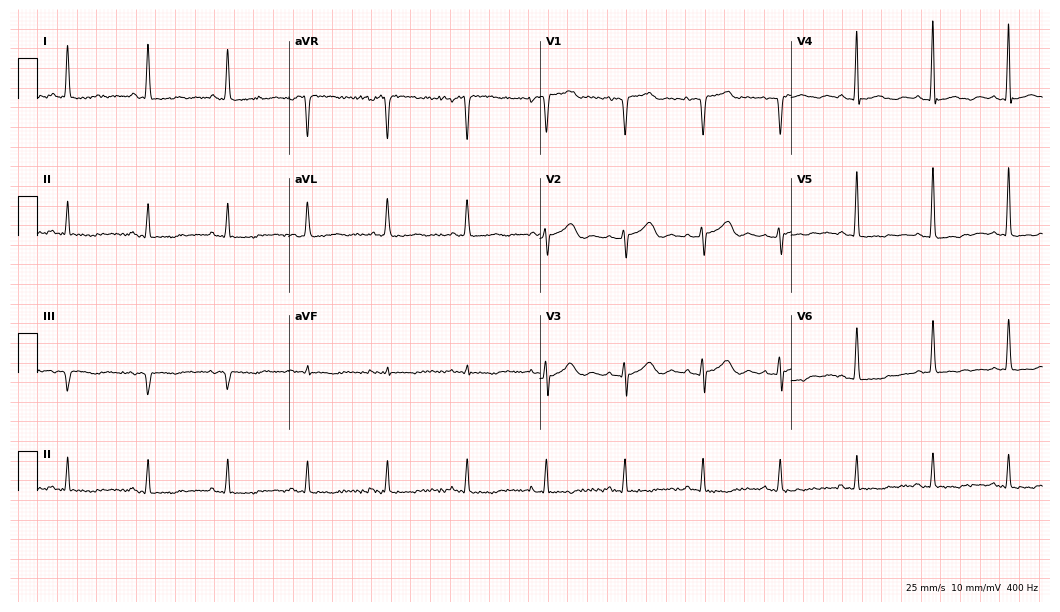
Standard 12-lead ECG recorded from a woman, 65 years old (10.2-second recording at 400 Hz). None of these six findings is recorded: first-degree AV block, right bundle branch block, left bundle branch block, sinus bradycardia, atrial fibrillation, sinus tachycardia.